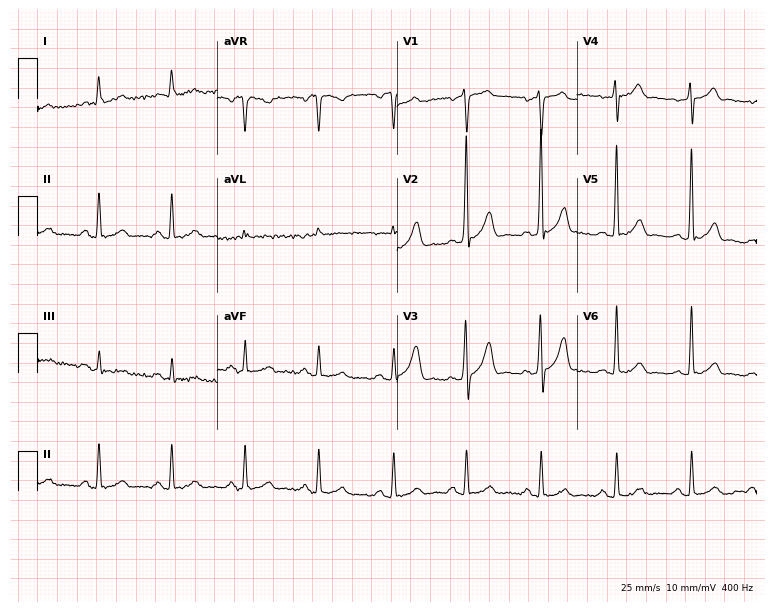
Electrocardiogram, a man, 60 years old. Of the six screened findings (first-degree AV block, right bundle branch block (RBBB), left bundle branch block (LBBB), sinus bradycardia, atrial fibrillation (AF), sinus tachycardia), none is recorded. Findings outside these six are not listed.